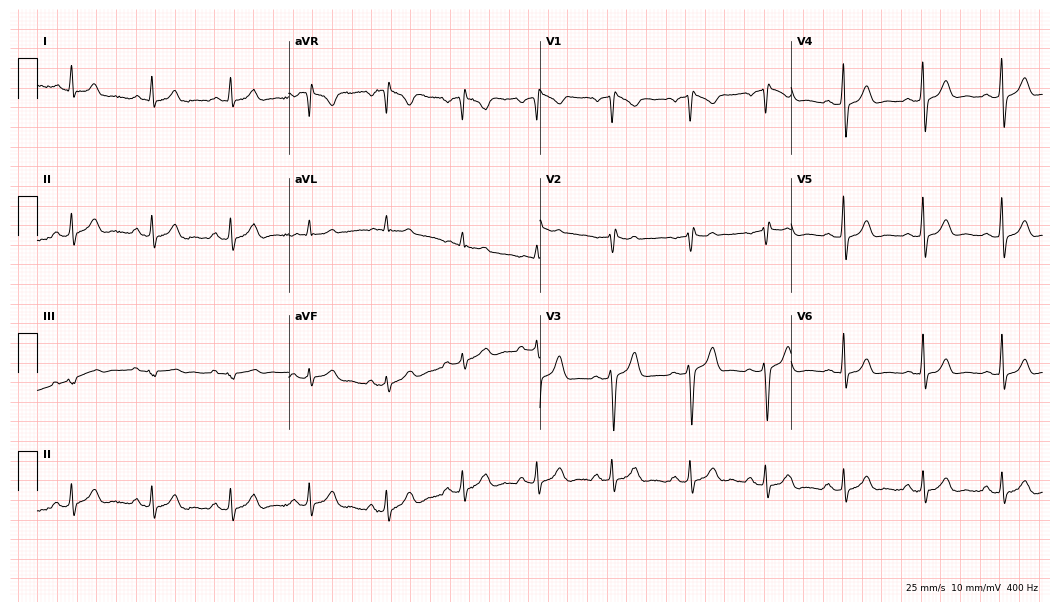
ECG — a 31-year-old male patient. Labelled as a normal ECG.